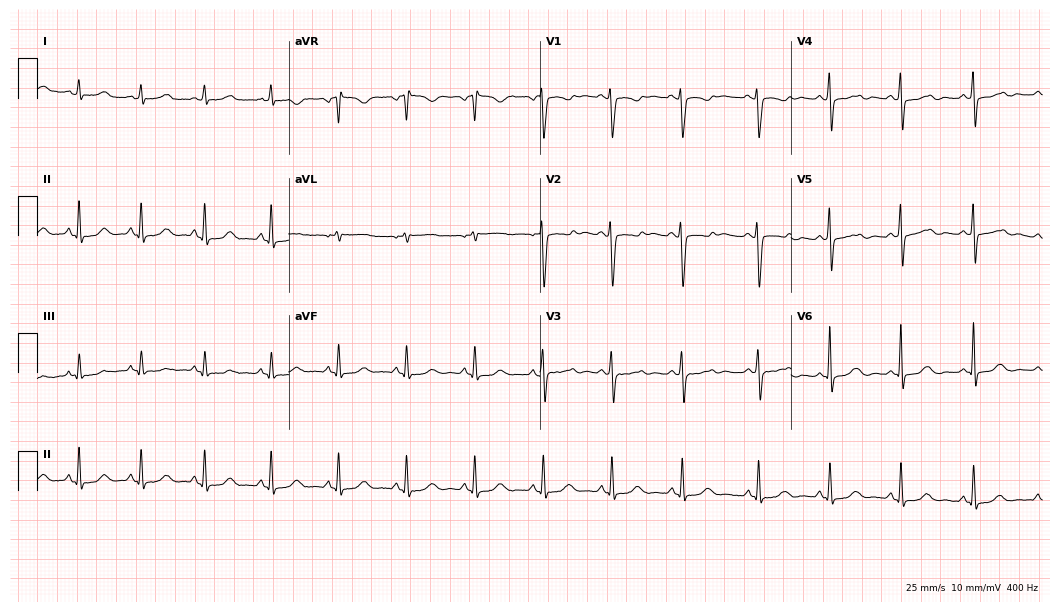
12-lead ECG from a 50-year-old female. Labelled as a normal ECG.